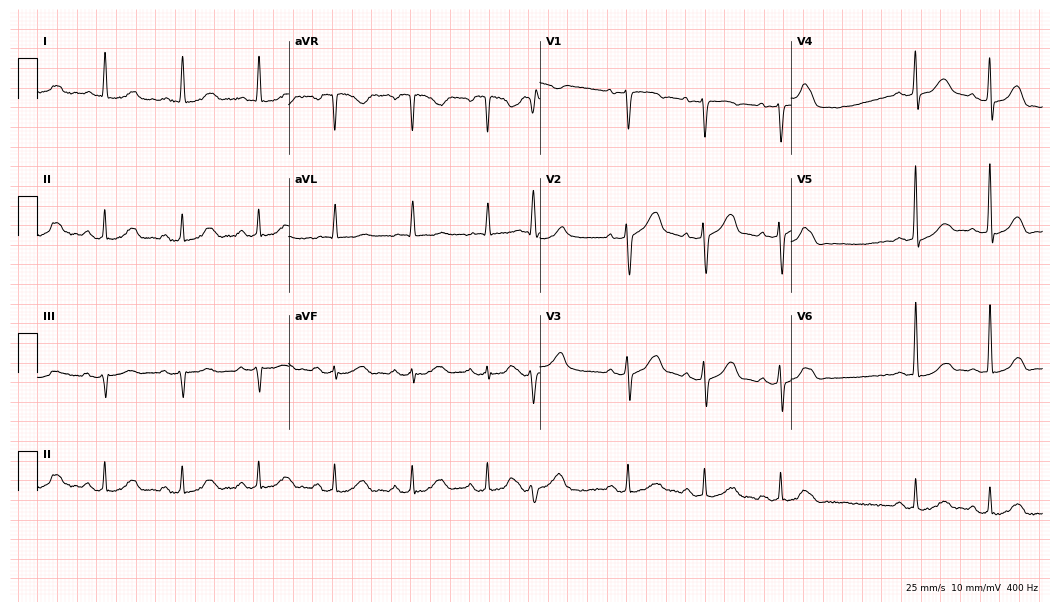
Standard 12-lead ECG recorded from a male patient, 80 years old. None of these six findings is recorded: first-degree AV block, right bundle branch block (RBBB), left bundle branch block (LBBB), sinus bradycardia, atrial fibrillation (AF), sinus tachycardia. Only these six findings were labelled.